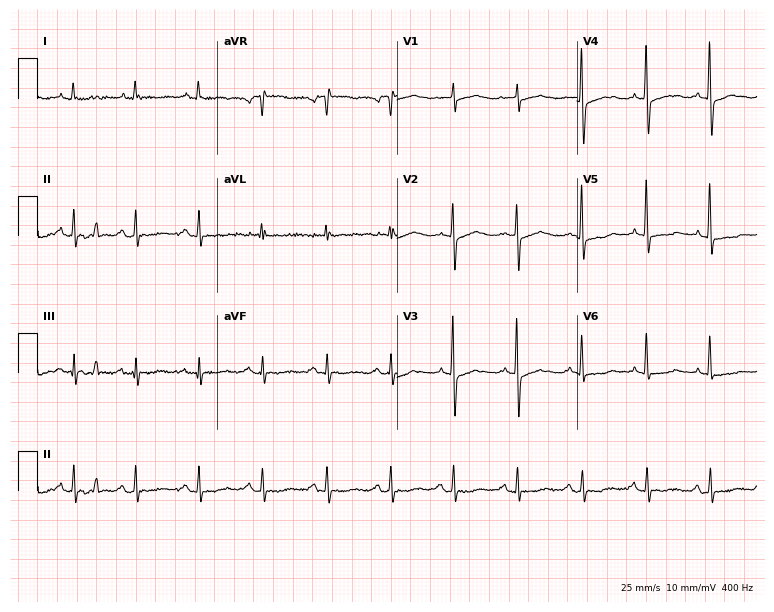
12-lead ECG from a female patient, 82 years old. Screened for six findings — first-degree AV block, right bundle branch block (RBBB), left bundle branch block (LBBB), sinus bradycardia, atrial fibrillation (AF), sinus tachycardia — none is recorded. Only these six findings were labelled.